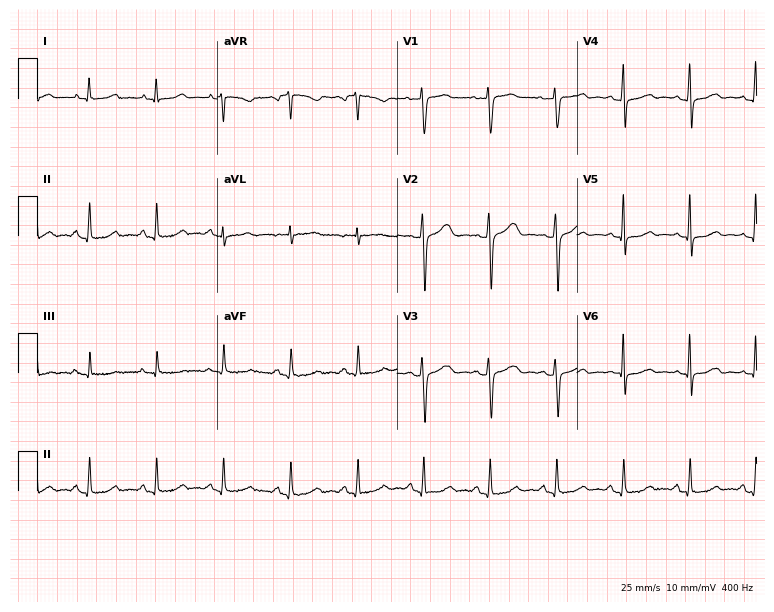
12-lead ECG from a 52-year-old female. Labelled as a normal ECG.